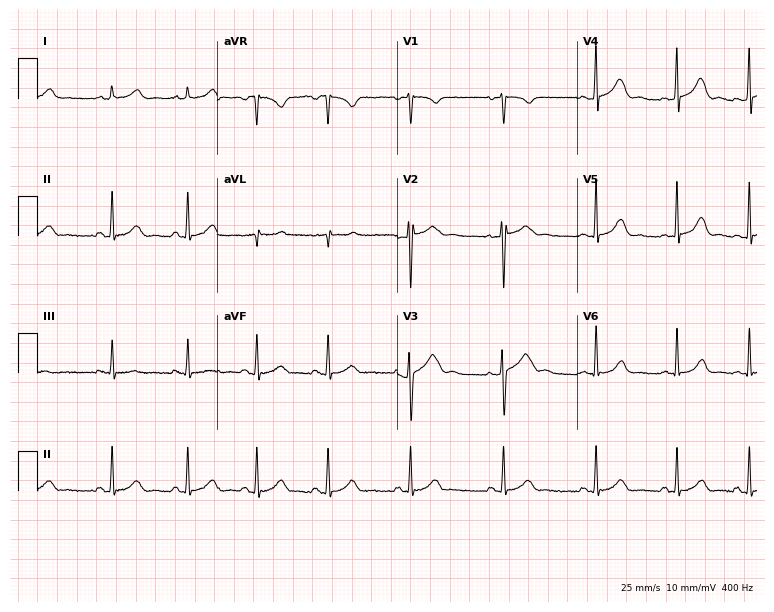
Resting 12-lead electrocardiogram (7.3-second recording at 400 Hz). Patient: a female, 23 years old. Read as a normal ECG.